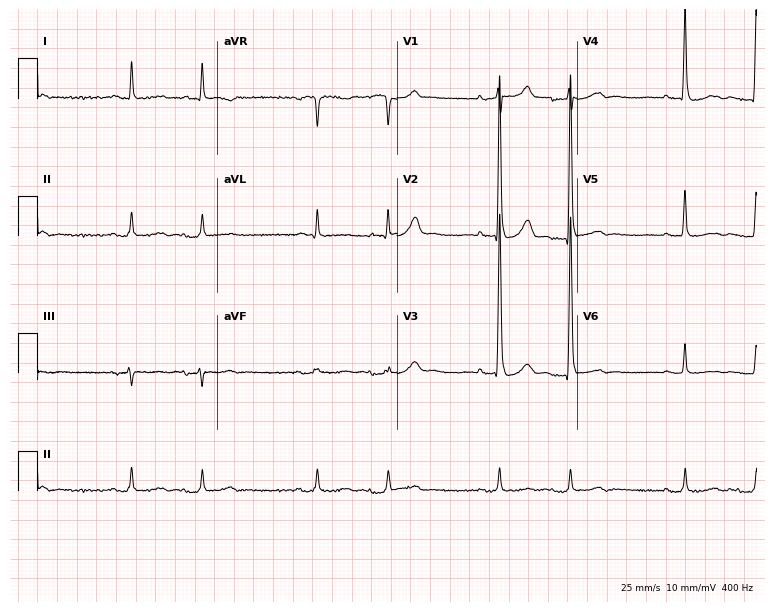
Standard 12-lead ECG recorded from a male patient, 81 years old (7.3-second recording at 400 Hz). None of these six findings is recorded: first-degree AV block, right bundle branch block (RBBB), left bundle branch block (LBBB), sinus bradycardia, atrial fibrillation (AF), sinus tachycardia. Findings outside these six are not listed.